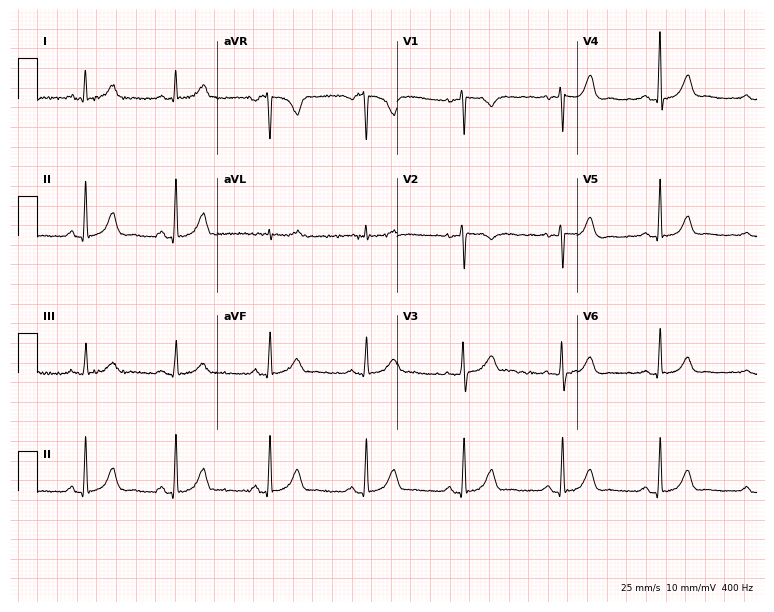
Electrocardiogram (7.3-second recording at 400 Hz), a 58-year-old female patient. Of the six screened findings (first-degree AV block, right bundle branch block, left bundle branch block, sinus bradycardia, atrial fibrillation, sinus tachycardia), none is recorded. Other findings, if any, are not listed.